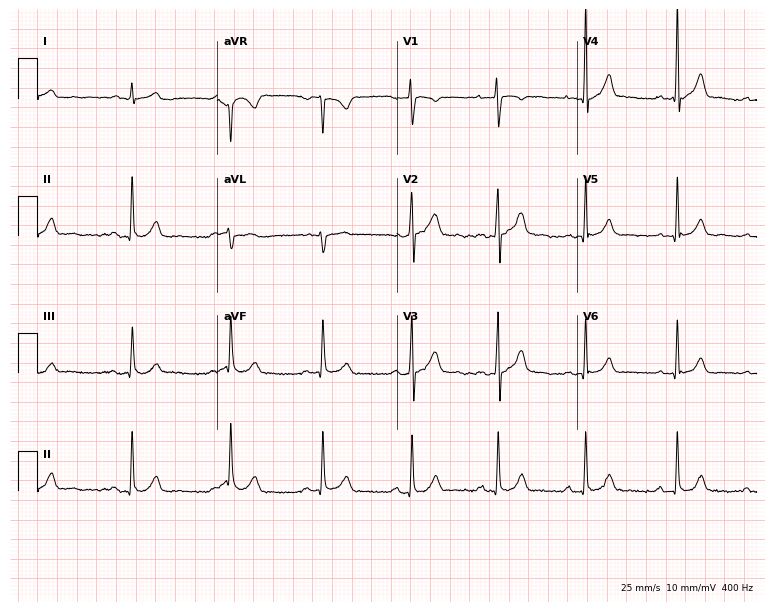
12-lead ECG (7.3-second recording at 400 Hz) from a 33-year-old male. Labelled as a normal ECG.